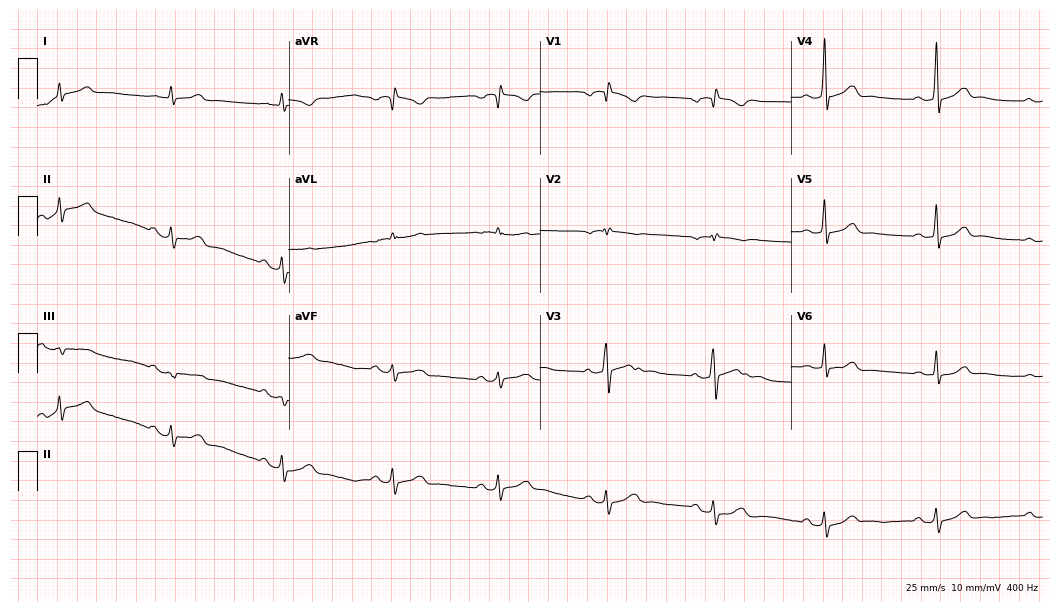
Standard 12-lead ECG recorded from a 53-year-old man. None of these six findings is recorded: first-degree AV block, right bundle branch block, left bundle branch block, sinus bradycardia, atrial fibrillation, sinus tachycardia. Other findings, if any, are not listed.